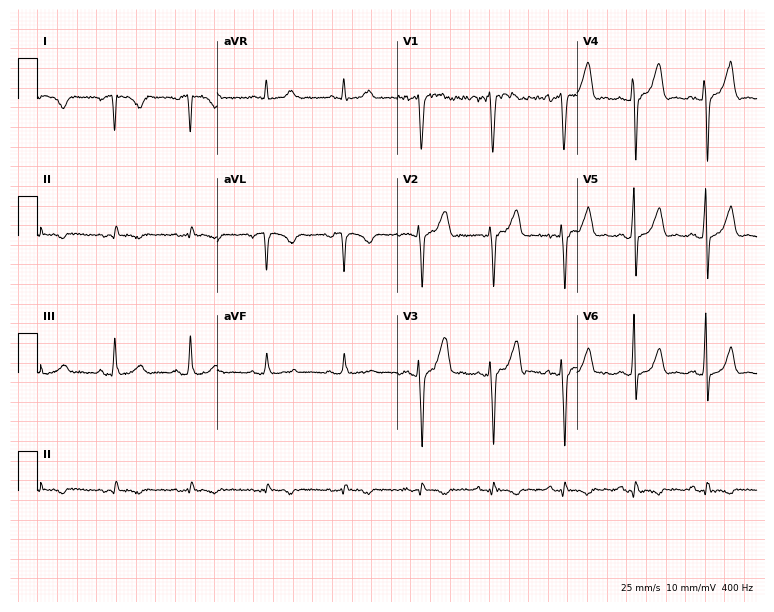
Electrocardiogram (7.3-second recording at 400 Hz), a 23-year-old man. Of the six screened findings (first-degree AV block, right bundle branch block, left bundle branch block, sinus bradycardia, atrial fibrillation, sinus tachycardia), none is recorded.